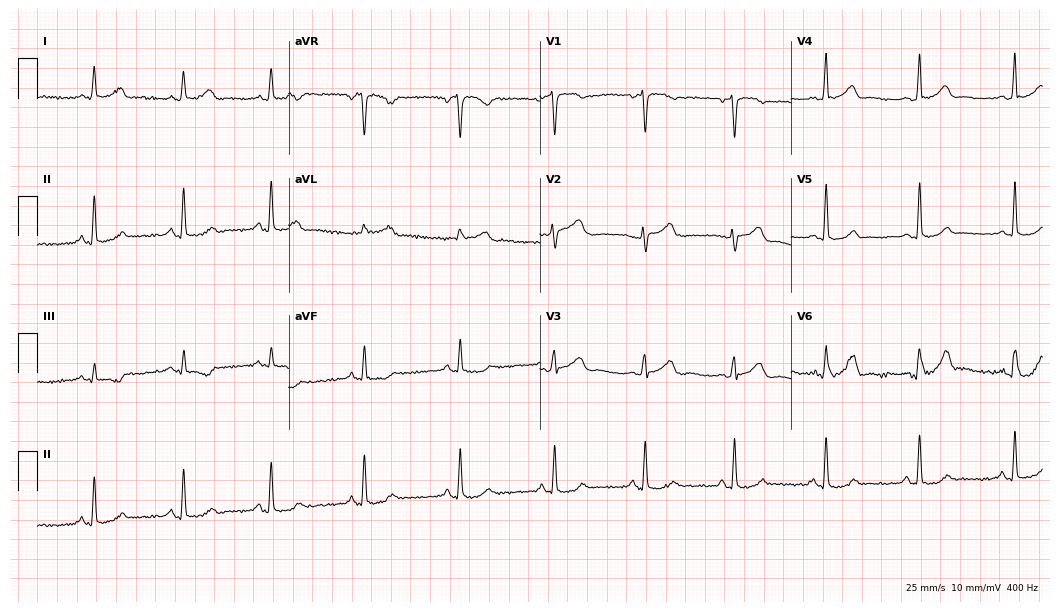
Resting 12-lead electrocardiogram. Patient: a 44-year-old female. None of these six findings is recorded: first-degree AV block, right bundle branch block, left bundle branch block, sinus bradycardia, atrial fibrillation, sinus tachycardia.